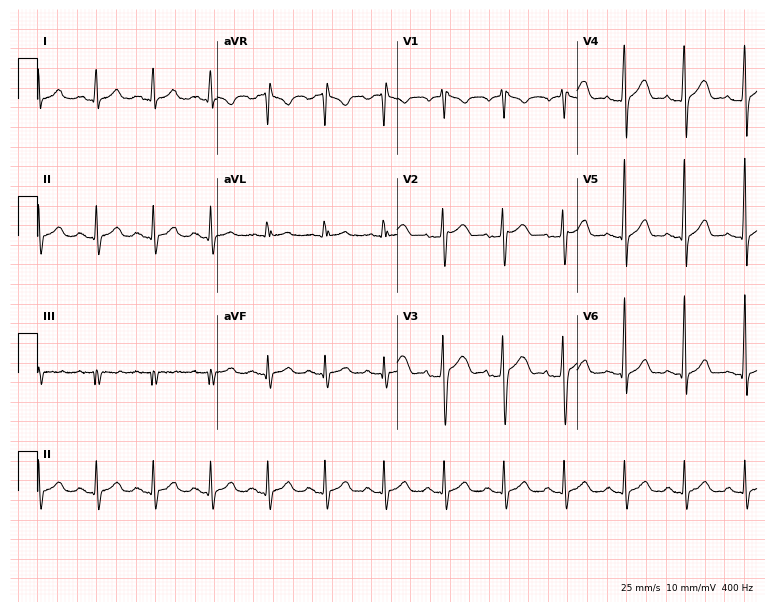
12-lead ECG from a 36-year-old male. Recorded interpretation: within normal limits.